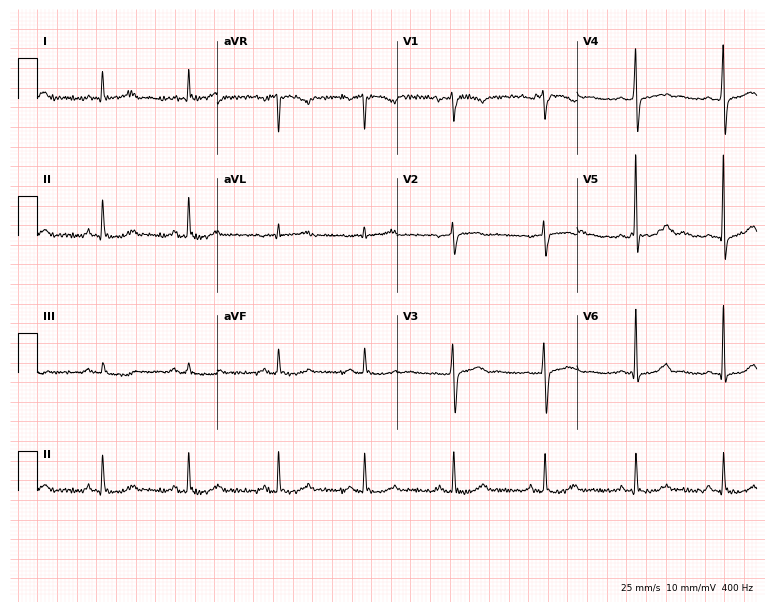
12-lead ECG (7.3-second recording at 400 Hz) from a woman, 51 years old. Screened for six findings — first-degree AV block, right bundle branch block (RBBB), left bundle branch block (LBBB), sinus bradycardia, atrial fibrillation (AF), sinus tachycardia — none is recorded. Only these six findings were labelled.